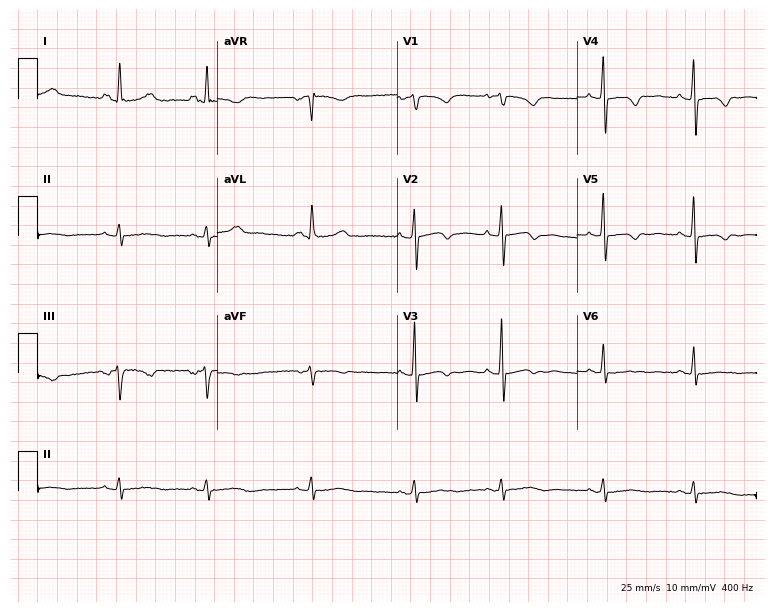
ECG (7.3-second recording at 400 Hz) — a 53-year-old woman. Screened for six findings — first-degree AV block, right bundle branch block, left bundle branch block, sinus bradycardia, atrial fibrillation, sinus tachycardia — none is recorded.